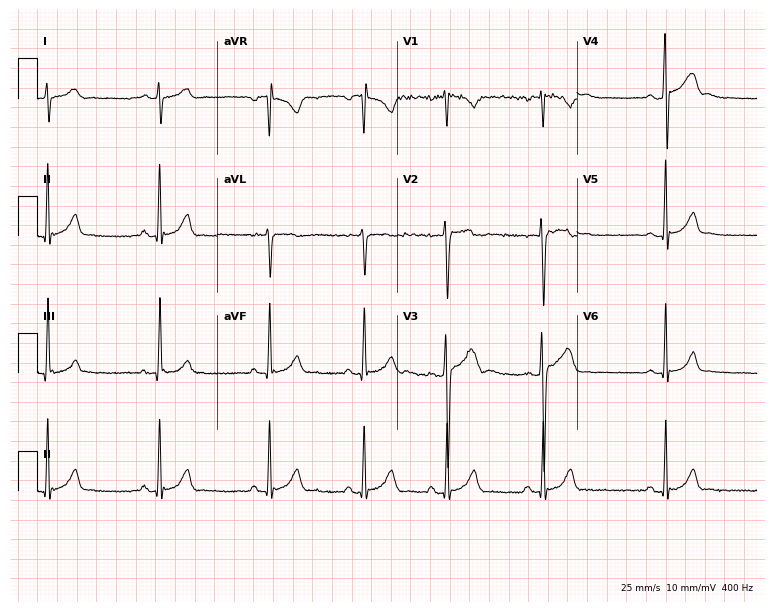
Electrocardiogram, a male, 18 years old. Of the six screened findings (first-degree AV block, right bundle branch block, left bundle branch block, sinus bradycardia, atrial fibrillation, sinus tachycardia), none is recorded.